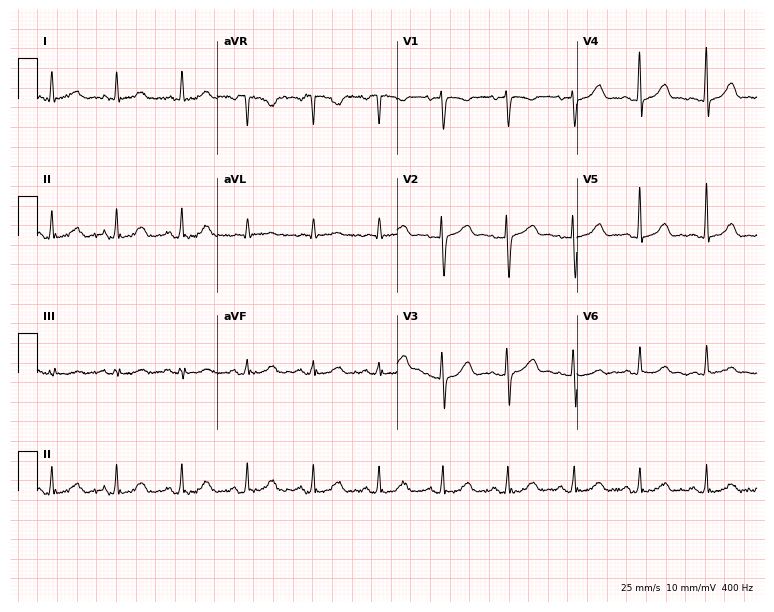
12-lead ECG from a female, 52 years old (7.3-second recording at 400 Hz). Recorded interpretation: within normal limits.